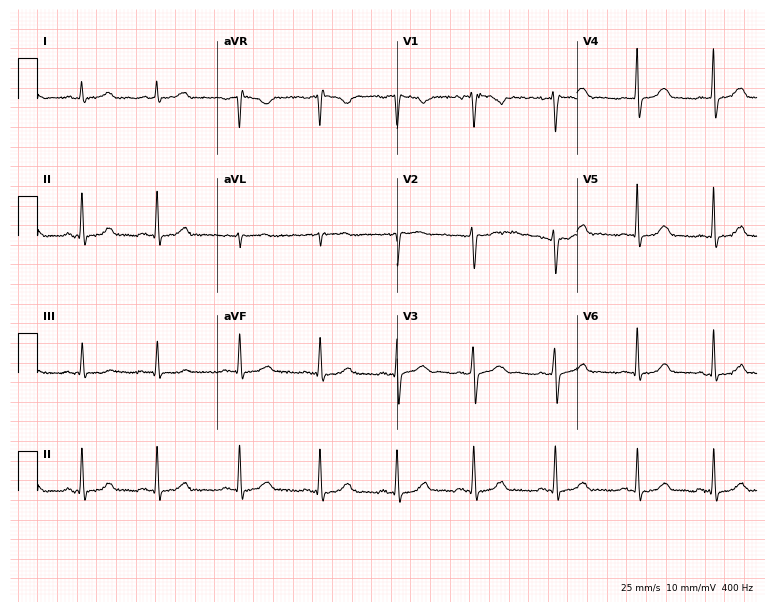
12-lead ECG from a 33-year-old woman. No first-degree AV block, right bundle branch block, left bundle branch block, sinus bradycardia, atrial fibrillation or sinus tachycardia recorded for this tracing. Findings outside these six are not listed.